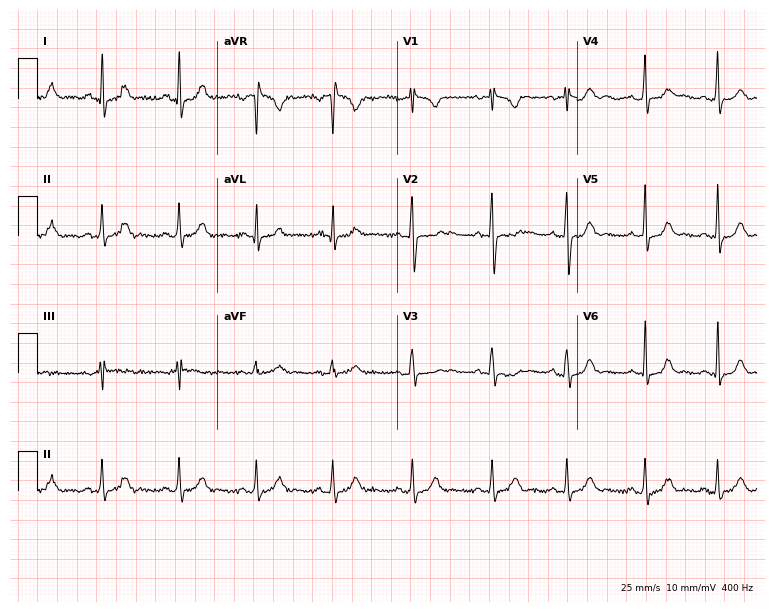
Electrocardiogram (7.3-second recording at 400 Hz), a 22-year-old woman. Of the six screened findings (first-degree AV block, right bundle branch block (RBBB), left bundle branch block (LBBB), sinus bradycardia, atrial fibrillation (AF), sinus tachycardia), none is recorded.